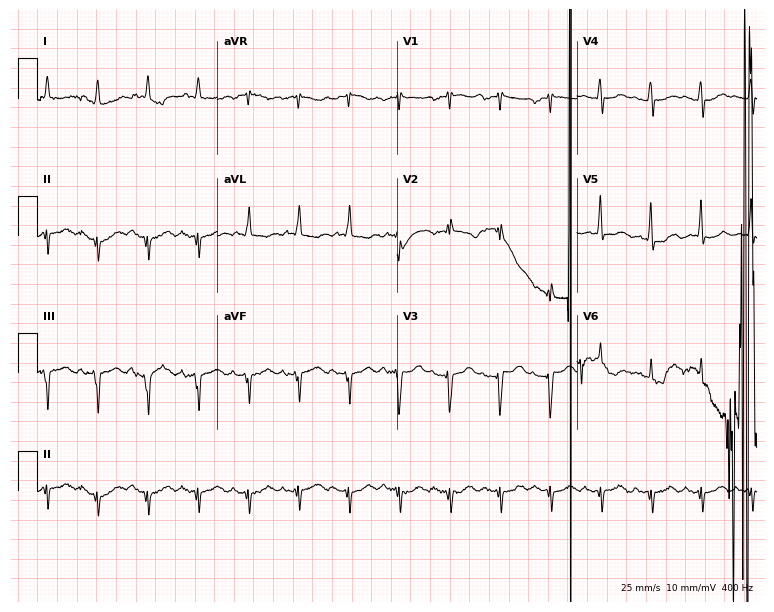
12-lead ECG (7.3-second recording at 400 Hz) from an 84-year-old woman. Findings include atrial fibrillation.